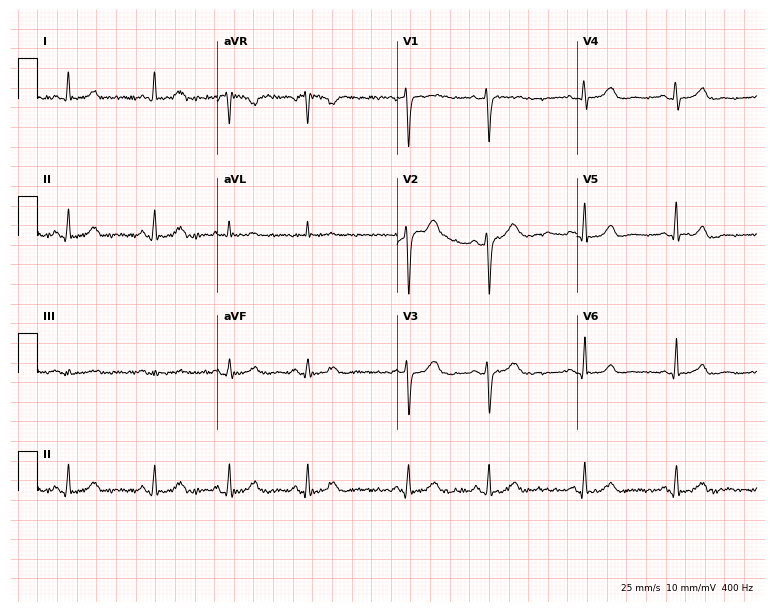
Resting 12-lead electrocardiogram. Patient: a female, 30 years old. Read as a normal ECG.